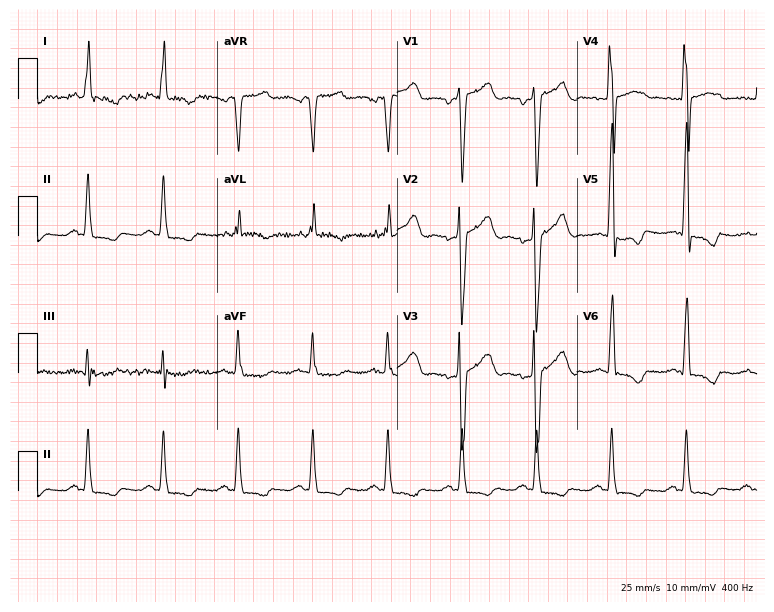
Resting 12-lead electrocardiogram (7.3-second recording at 400 Hz). Patient: a 52-year-old male. None of these six findings is recorded: first-degree AV block, right bundle branch block, left bundle branch block, sinus bradycardia, atrial fibrillation, sinus tachycardia. Only these six findings were labelled.